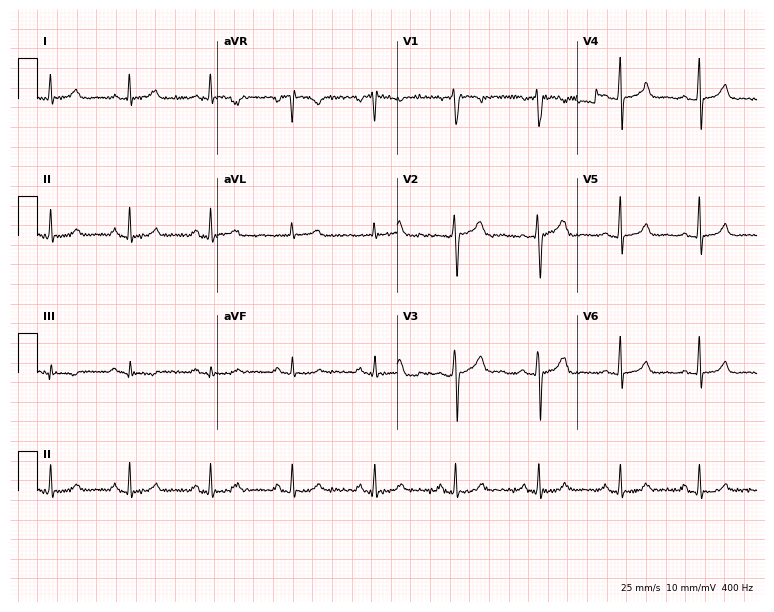
Standard 12-lead ECG recorded from a female patient, 47 years old (7.3-second recording at 400 Hz). None of these six findings is recorded: first-degree AV block, right bundle branch block, left bundle branch block, sinus bradycardia, atrial fibrillation, sinus tachycardia.